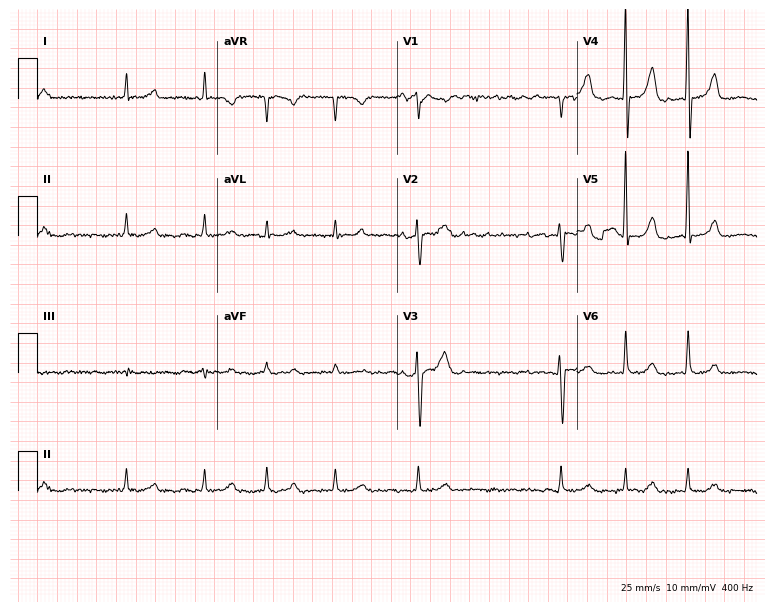
Electrocardiogram (7.3-second recording at 400 Hz), a 69-year-old male patient. Interpretation includes atrial fibrillation.